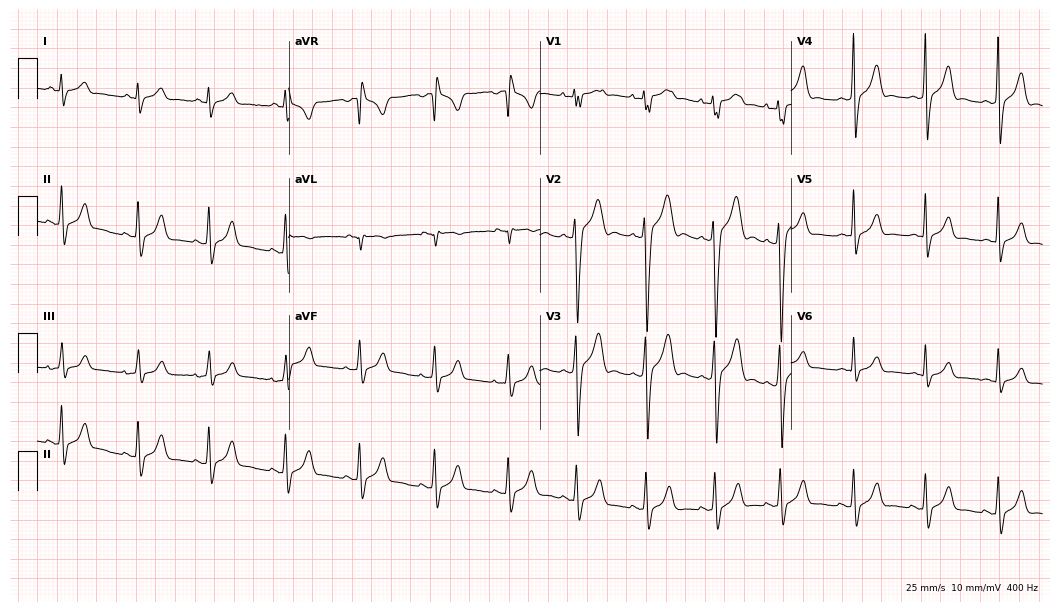
12-lead ECG from a 17-year-old male. Labelled as a normal ECG.